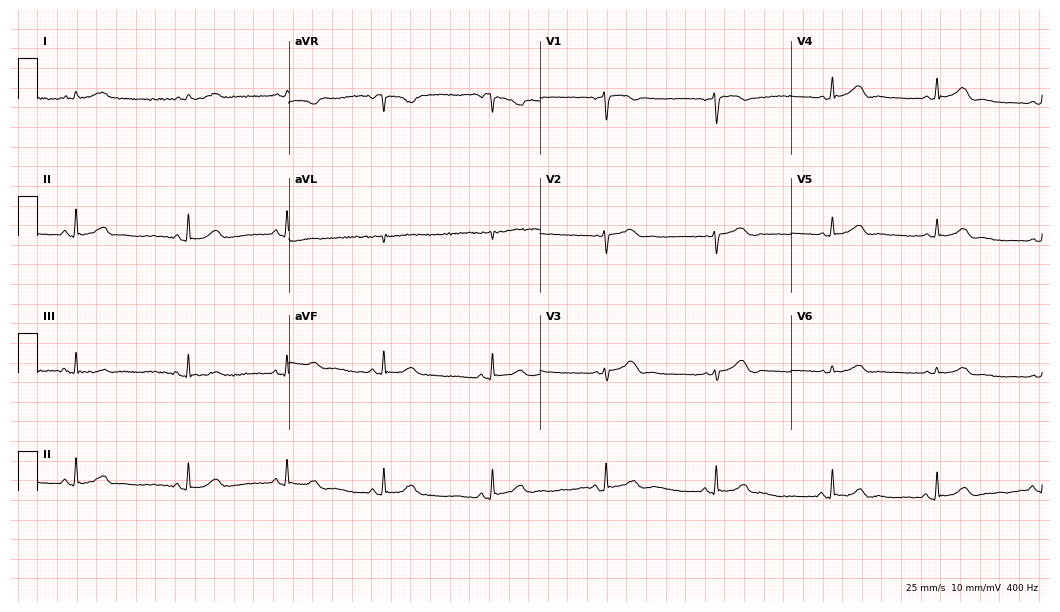
12-lead ECG (10.2-second recording at 400 Hz) from a 50-year-old female patient. Screened for six findings — first-degree AV block, right bundle branch block, left bundle branch block, sinus bradycardia, atrial fibrillation, sinus tachycardia — none is recorded. Findings outside these six are not listed.